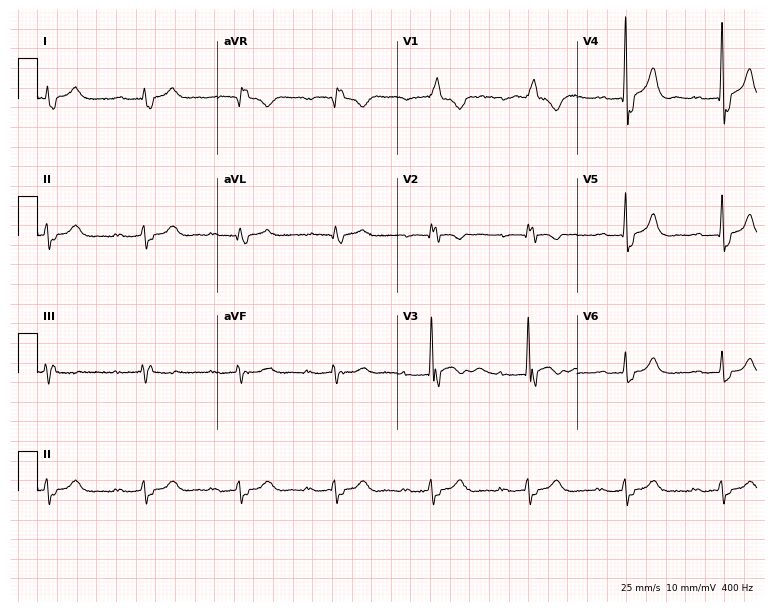
Standard 12-lead ECG recorded from a male patient, 60 years old (7.3-second recording at 400 Hz). The tracing shows first-degree AV block, right bundle branch block (RBBB).